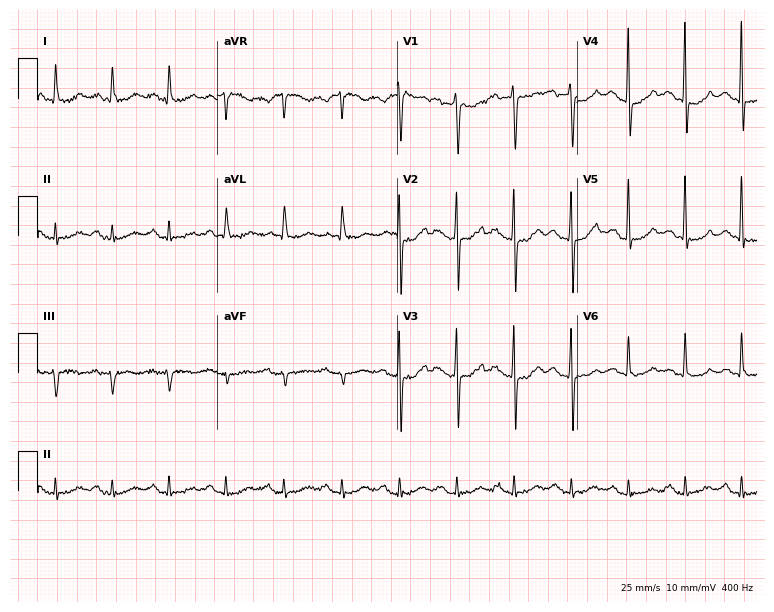
Resting 12-lead electrocardiogram. Patient: a woman, 82 years old. The tracing shows sinus tachycardia (a sinus rate of 100 beats per minute or more).